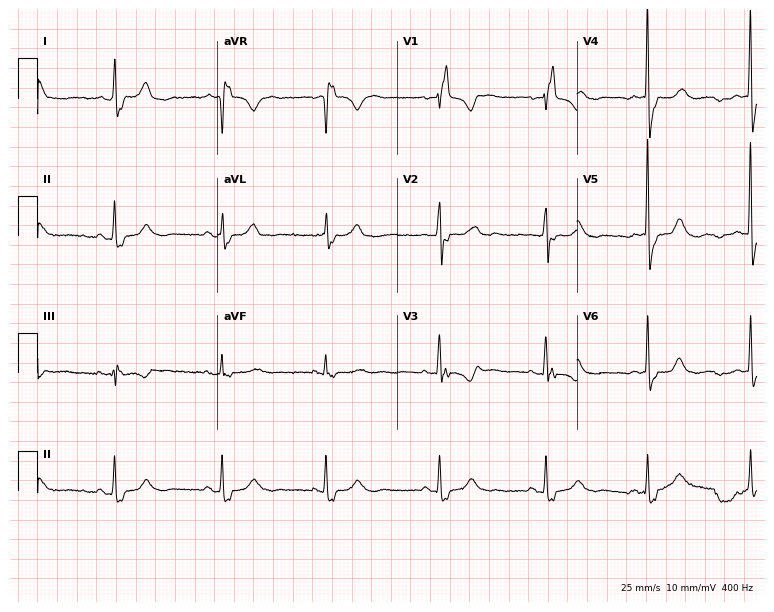
12-lead ECG (7.3-second recording at 400 Hz) from a 64-year-old woman. Screened for six findings — first-degree AV block, right bundle branch block, left bundle branch block, sinus bradycardia, atrial fibrillation, sinus tachycardia — none is recorded. Findings outside these six are not listed.